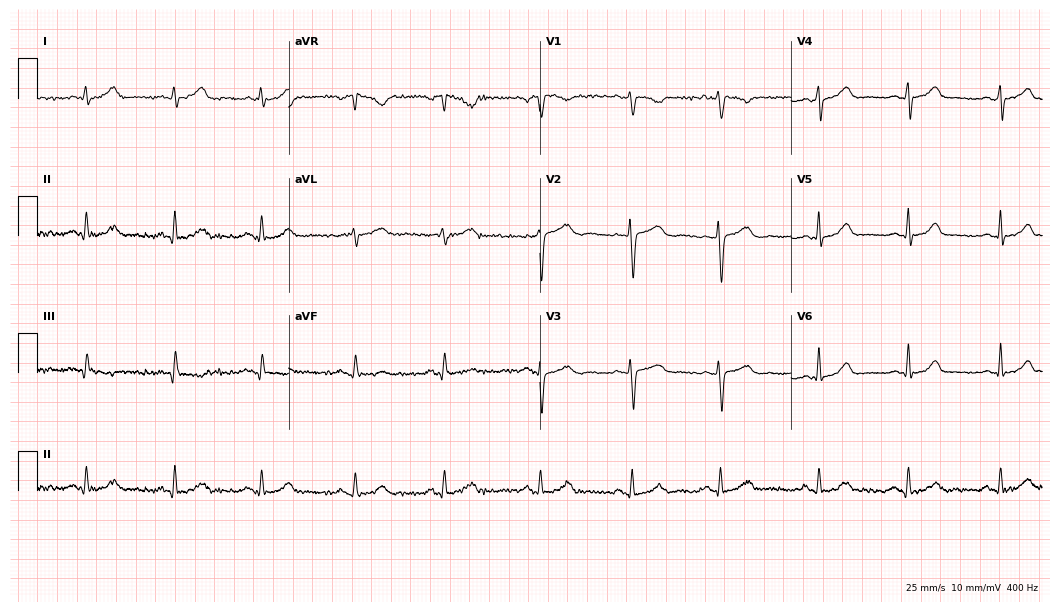
12-lead ECG from a 32-year-old woman. Labelled as a normal ECG.